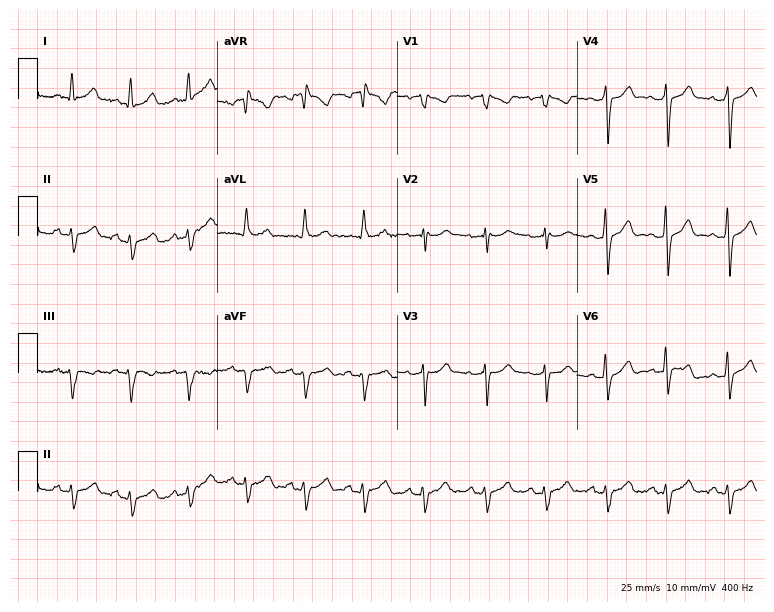
Electrocardiogram (7.3-second recording at 400 Hz), a 36-year-old male patient. Of the six screened findings (first-degree AV block, right bundle branch block, left bundle branch block, sinus bradycardia, atrial fibrillation, sinus tachycardia), none is recorded.